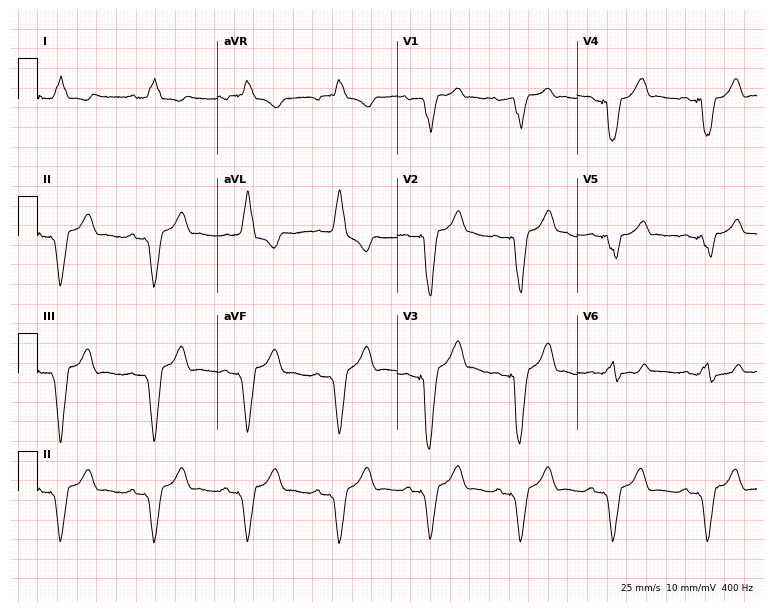
12-lead ECG (7.3-second recording at 400 Hz) from a female, 44 years old. Findings include left bundle branch block.